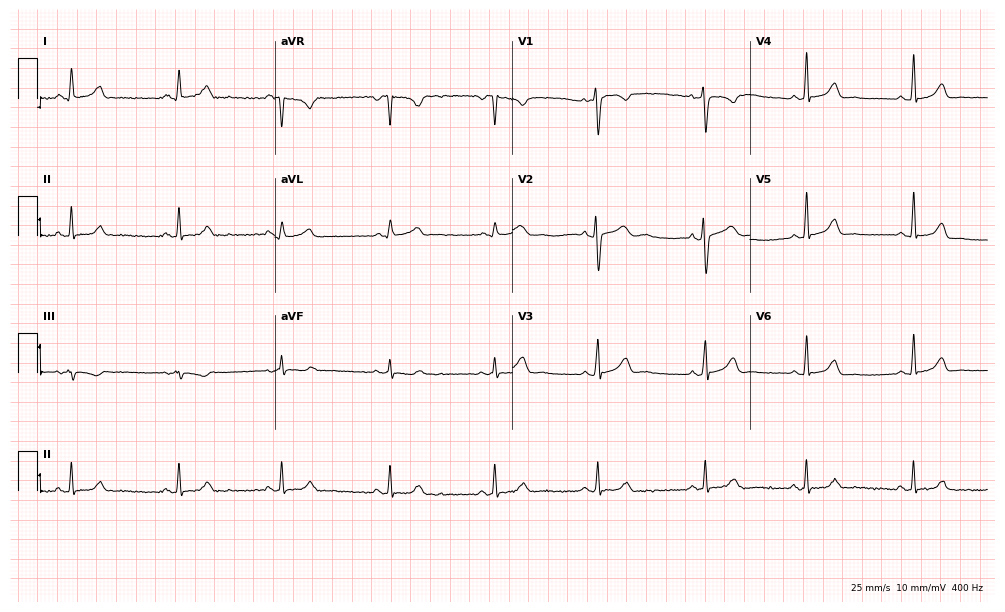
Electrocardiogram (9.7-second recording at 400 Hz), a 39-year-old female. Overall reading on record: normal ECG.